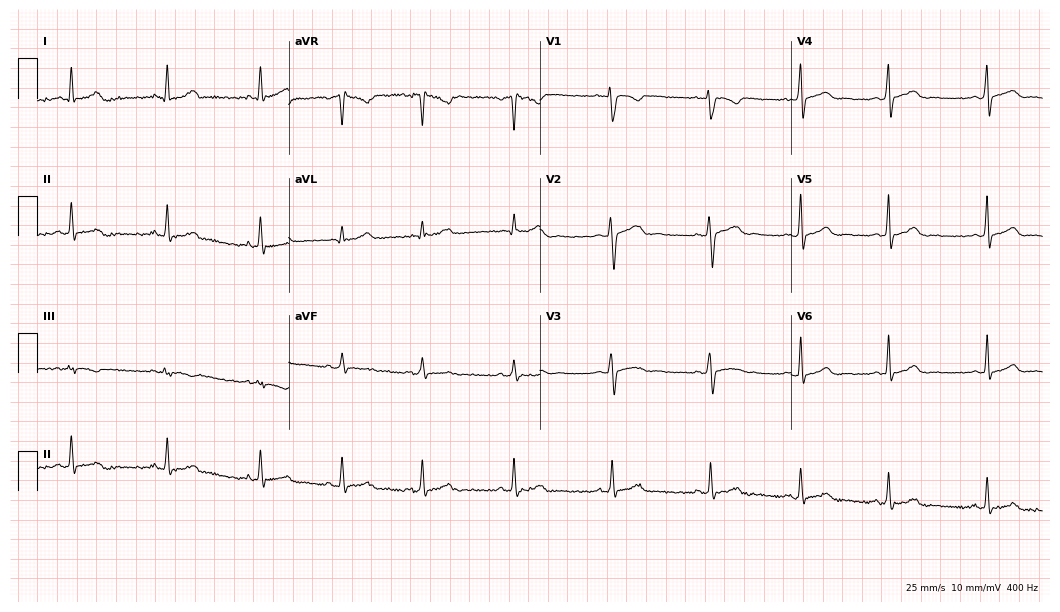
12-lead ECG from a woman, 20 years old. Labelled as a normal ECG.